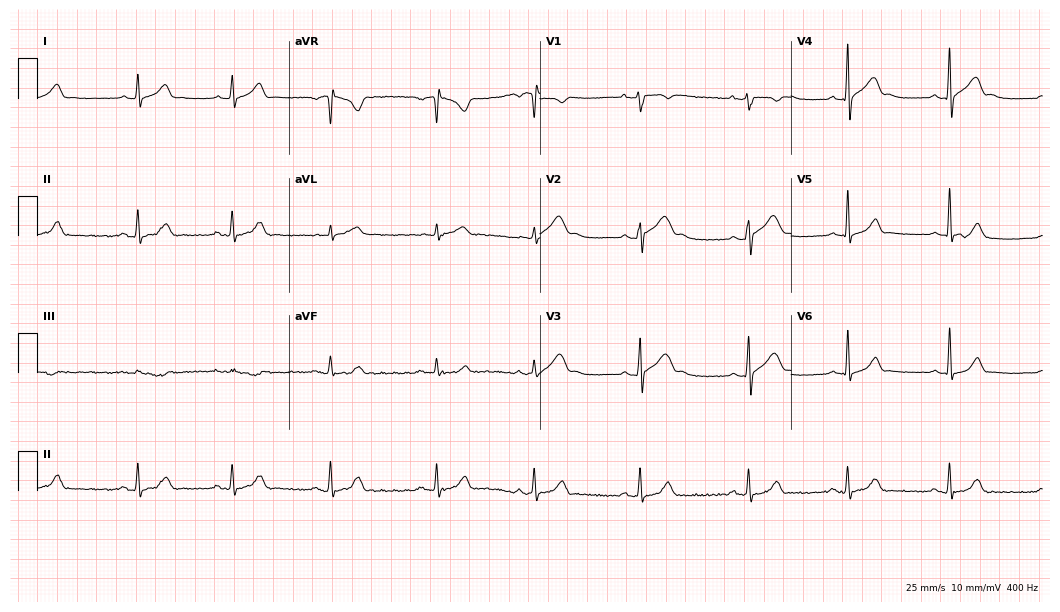
Electrocardiogram, a male patient, 21 years old. Overall reading on record: normal ECG.